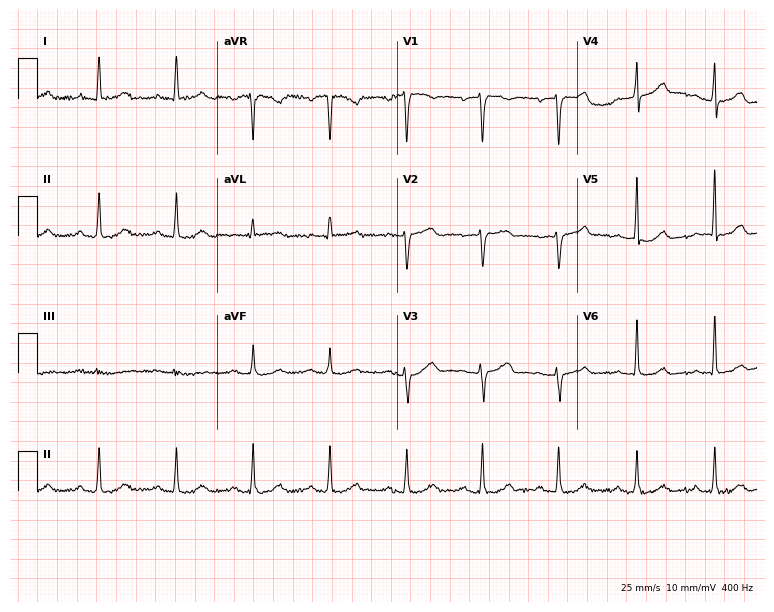
Resting 12-lead electrocardiogram (7.3-second recording at 400 Hz). Patient: a female, 64 years old. None of these six findings is recorded: first-degree AV block, right bundle branch block, left bundle branch block, sinus bradycardia, atrial fibrillation, sinus tachycardia. Findings outside these six are not listed.